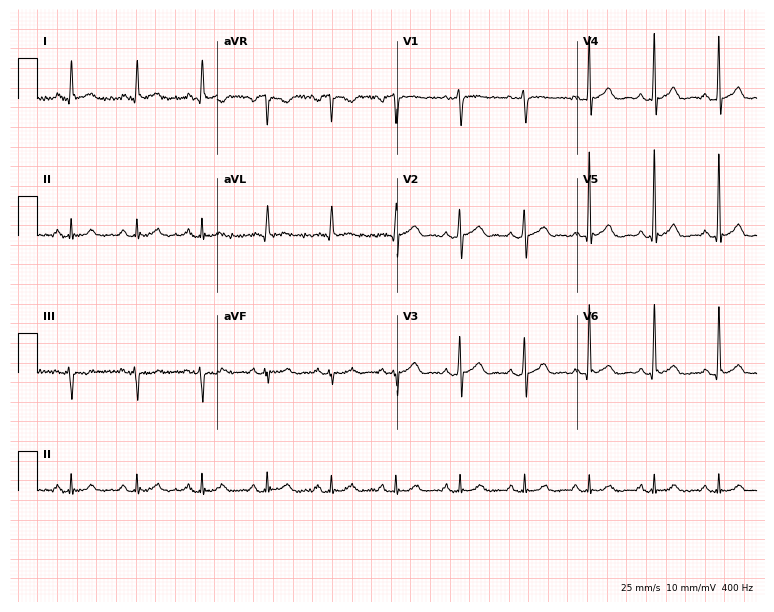
Electrocardiogram (7.3-second recording at 400 Hz), a 62-year-old man. Overall reading on record: normal ECG.